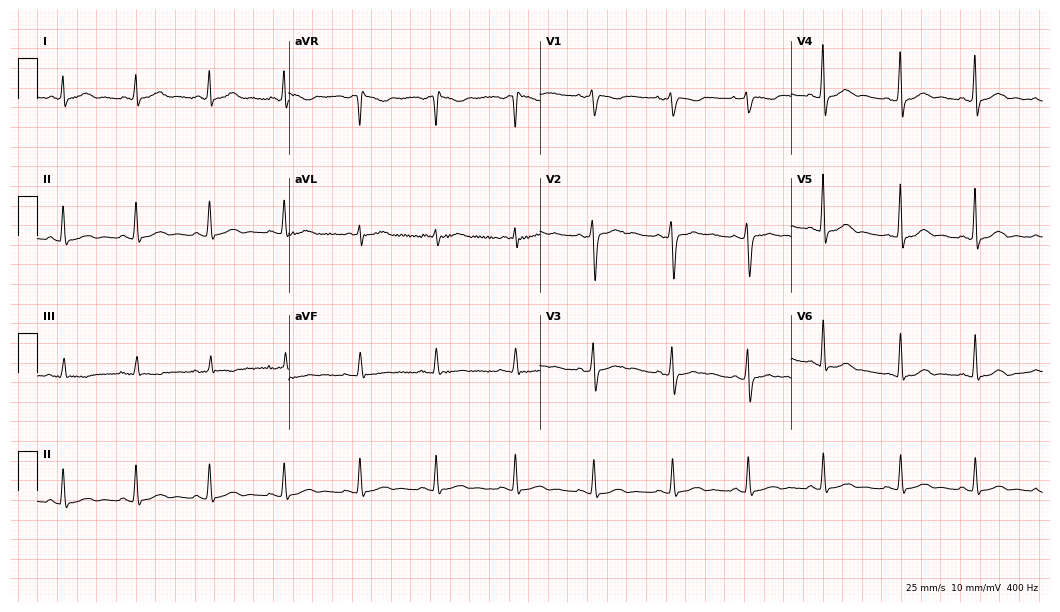
Electrocardiogram (10.2-second recording at 400 Hz), a 40-year-old female. Overall reading on record: normal ECG.